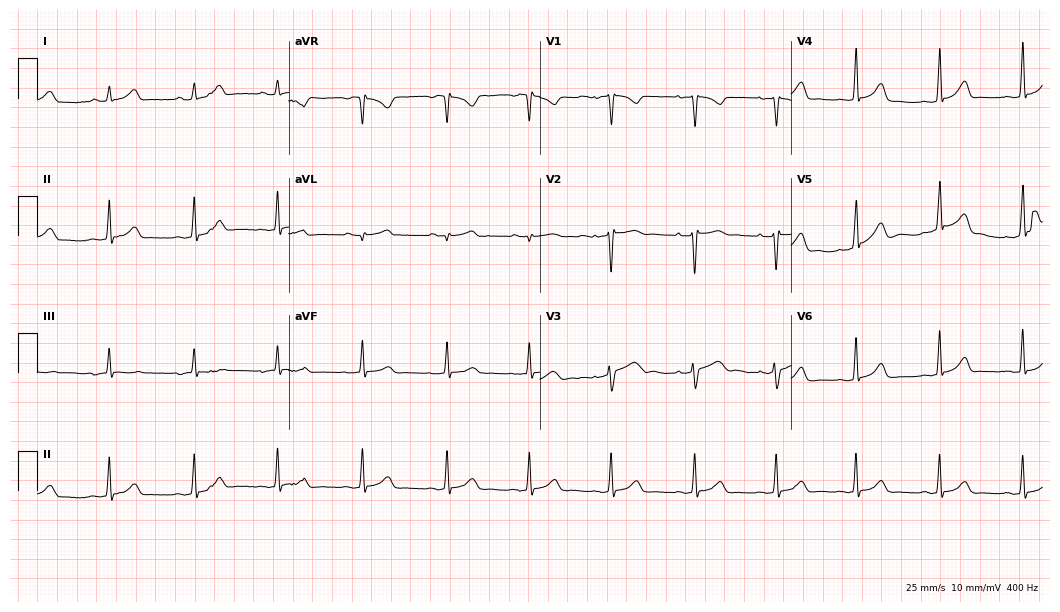
Resting 12-lead electrocardiogram (10.2-second recording at 400 Hz). Patient: a woman, 27 years old. Read as a normal ECG.